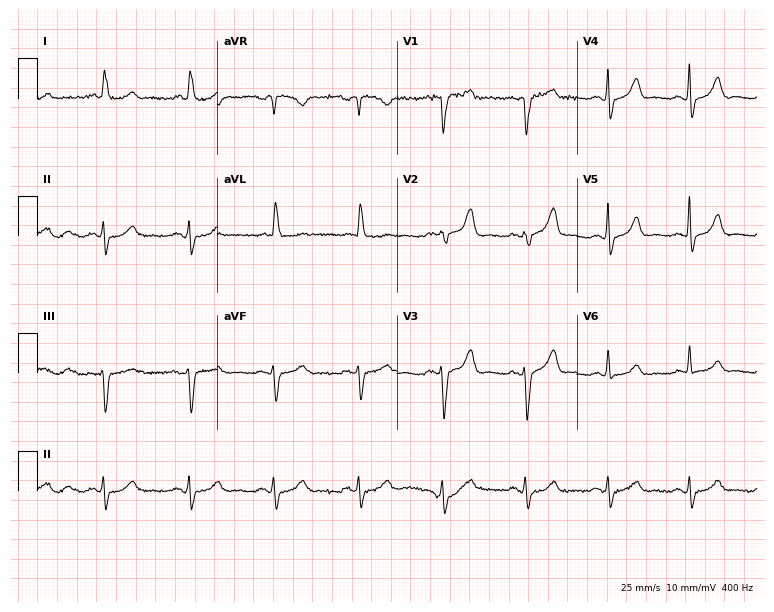
Electrocardiogram, a male patient, 81 years old. Of the six screened findings (first-degree AV block, right bundle branch block, left bundle branch block, sinus bradycardia, atrial fibrillation, sinus tachycardia), none is recorded.